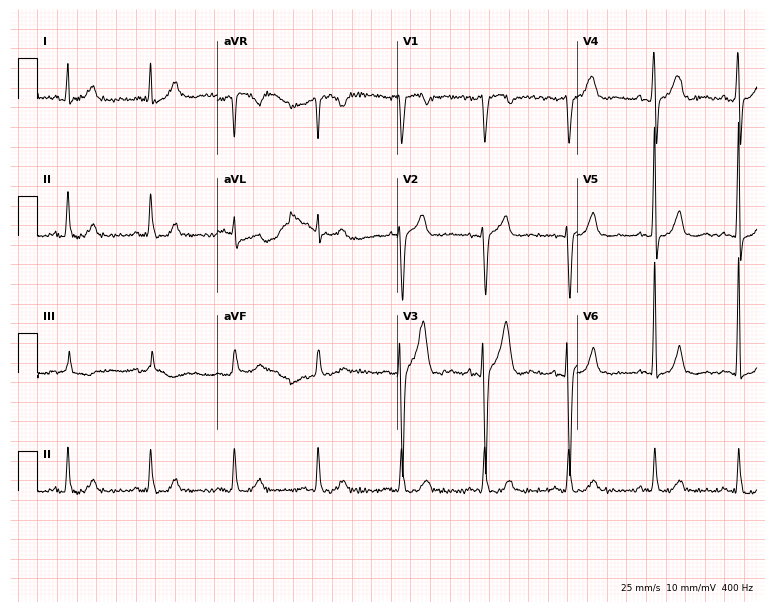
Standard 12-lead ECG recorded from a 44-year-old male patient (7.3-second recording at 400 Hz). Read as a normal ECG.